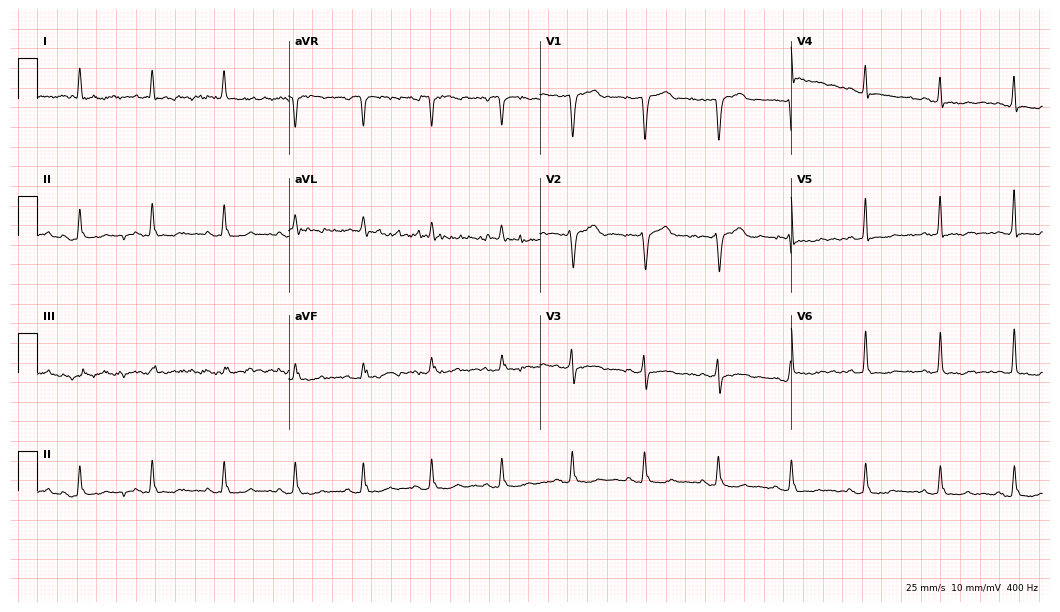
12-lead ECG from a man, 78 years old. No first-degree AV block, right bundle branch block (RBBB), left bundle branch block (LBBB), sinus bradycardia, atrial fibrillation (AF) or sinus tachycardia recorded for this tracing. Other findings, if any, are not listed.